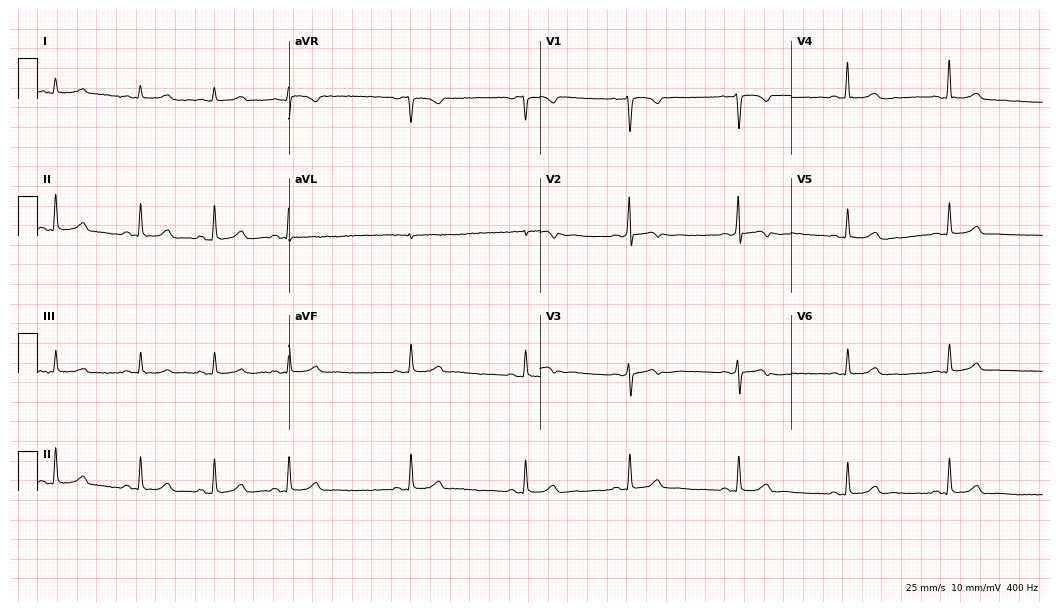
ECG (10.2-second recording at 400 Hz) — a woman, 27 years old. Screened for six findings — first-degree AV block, right bundle branch block, left bundle branch block, sinus bradycardia, atrial fibrillation, sinus tachycardia — none is recorded. Other findings, if any, are not listed.